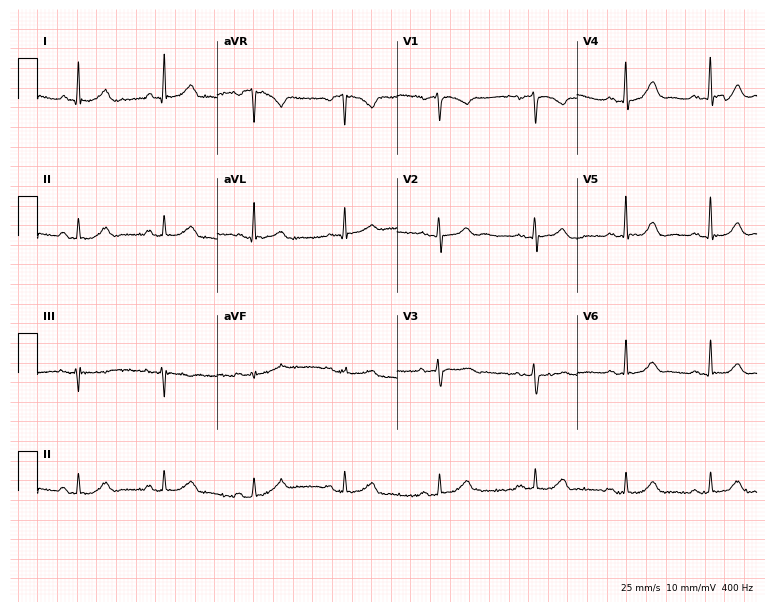
12-lead ECG from a 40-year-old female patient (7.3-second recording at 400 Hz). Recorded interpretation: within normal limits.